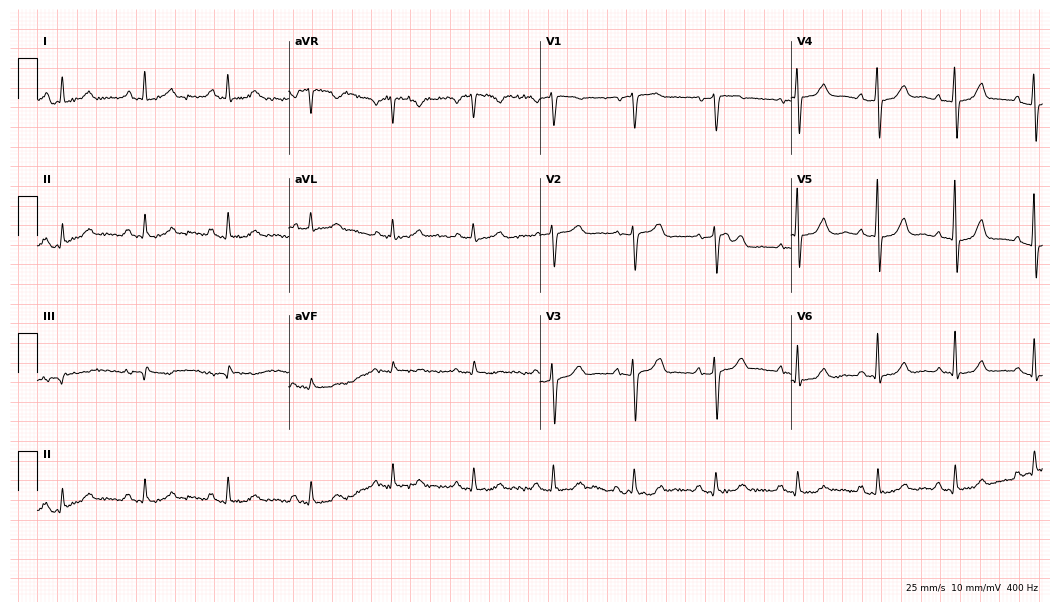
12-lead ECG (10.2-second recording at 400 Hz) from a 77-year-old woman. Screened for six findings — first-degree AV block, right bundle branch block, left bundle branch block, sinus bradycardia, atrial fibrillation, sinus tachycardia — none is recorded.